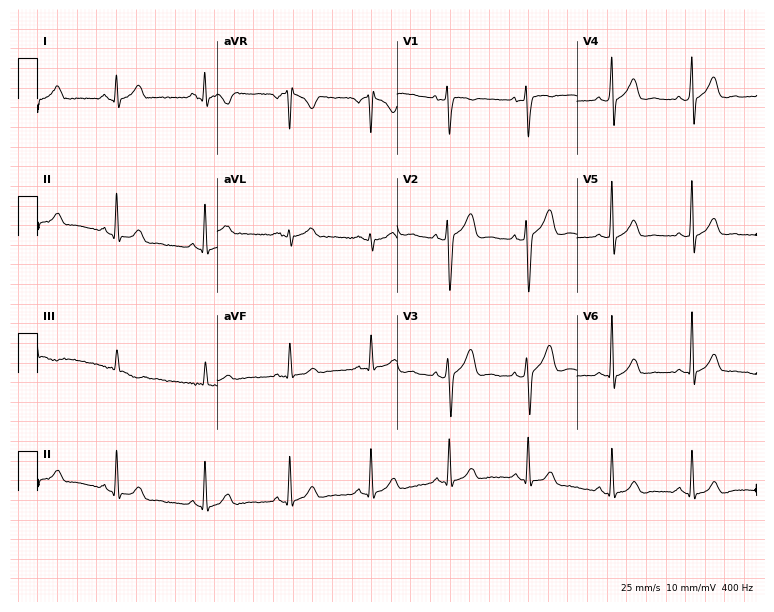
ECG — a male patient, 19 years old. Screened for six findings — first-degree AV block, right bundle branch block, left bundle branch block, sinus bradycardia, atrial fibrillation, sinus tachycardia — none is recorded. Findings outside these six are not listed.